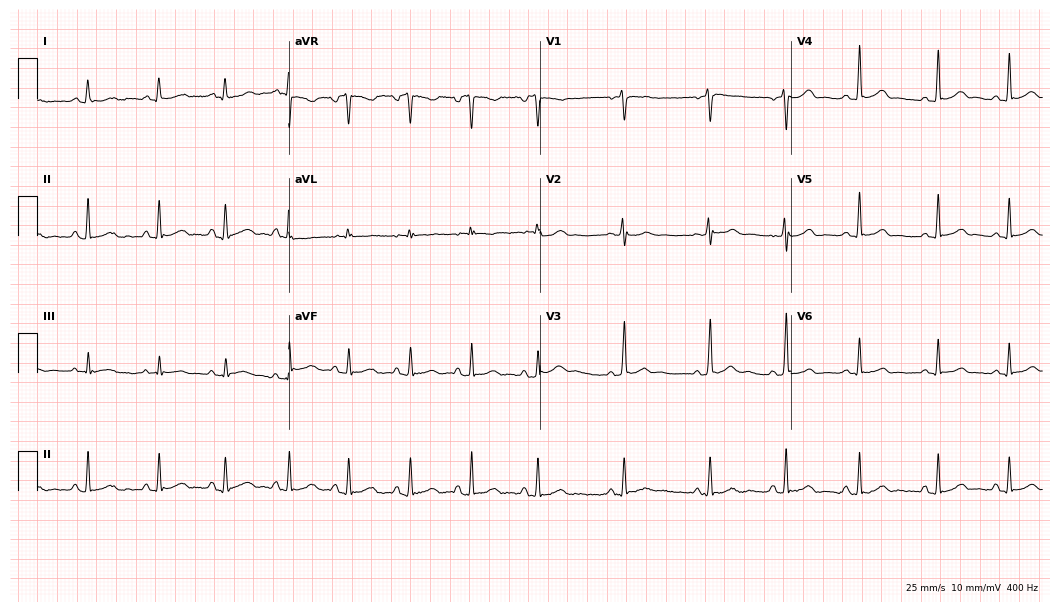
Resting 12-lead electrocardiogram. Patient: a female, 22 years old. Read as a normal ECG.